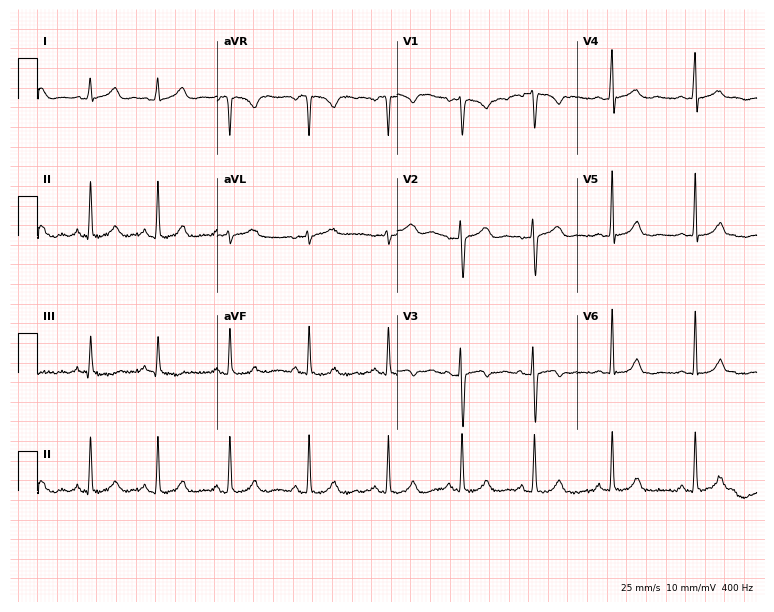
12-lead ECG from a 17-year-old female patient (7.3-second recording at 400 Hz). Recorded interpretation: within normal limits.